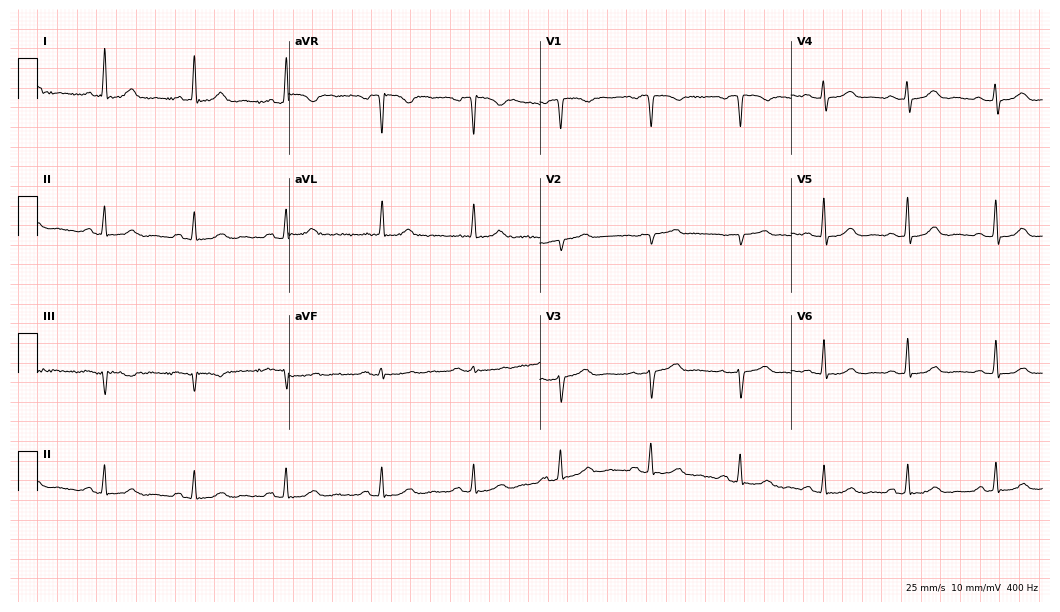
Electrocardiogram (10.2-second recording at 400 Hz), a female, 53 years old. Overall reading on record: normal ECG.